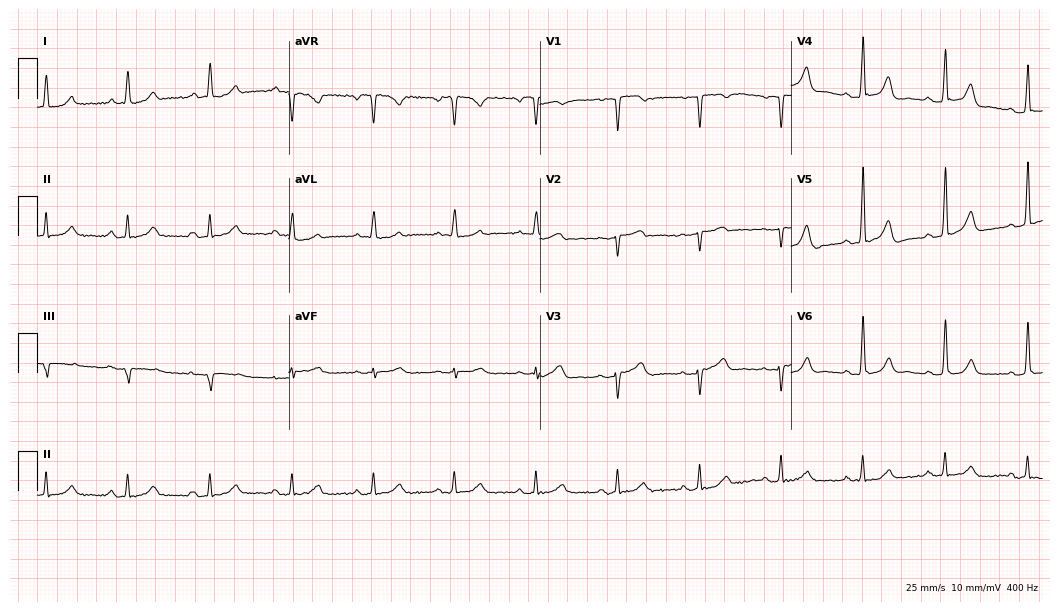
Standard 12-lead ECG recorded from a female patient, 55 years old. None of these six findings is recorded: first-degree AV block, right bundle branch block, left bundle branch block, sinus bradycardia, atrial fibrillation, sinus tachycardia. Findings outside these six are not listed.